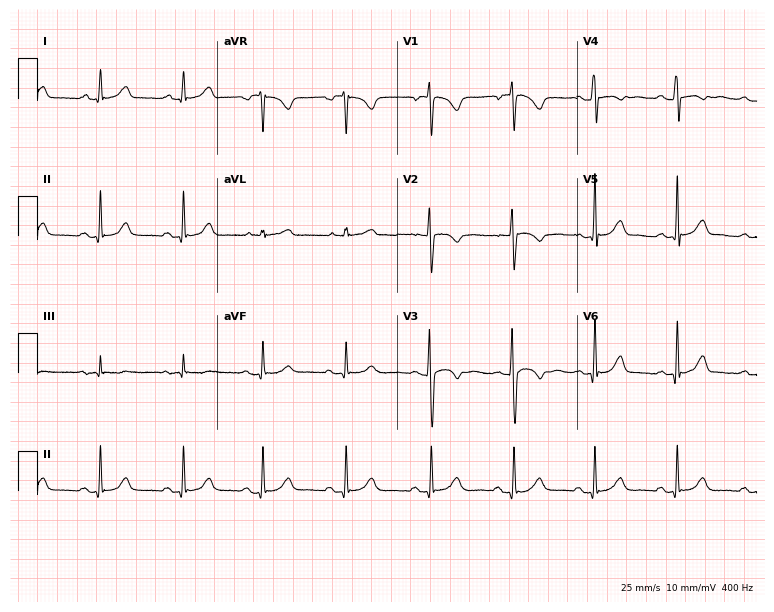
Standard 12-lead ECG recorded from a female, 24 years old (7.3-second recording at 400 Hz). None of these six findings is recorded: first-degree AV block, right bundle branch block, left bundle branch block, sinus bradycardia, atrial fibrillation, sinus tachycardia. Findings outside these six are not listed.